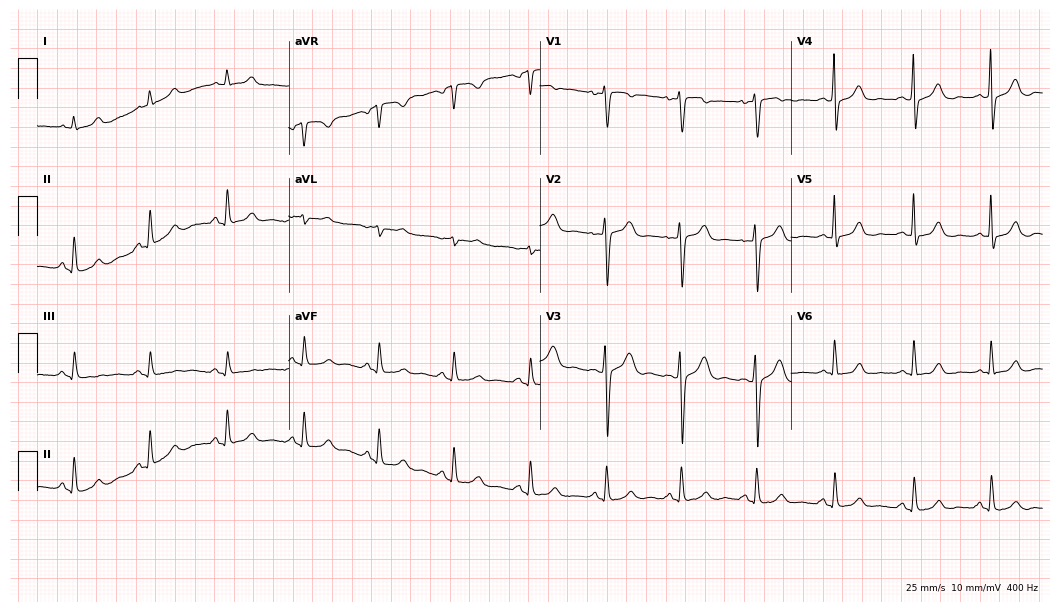
12-lead ECG from a female, 35 years old (10.2-second recording at 400 Hz). Recorded interpretation: within normal limits.